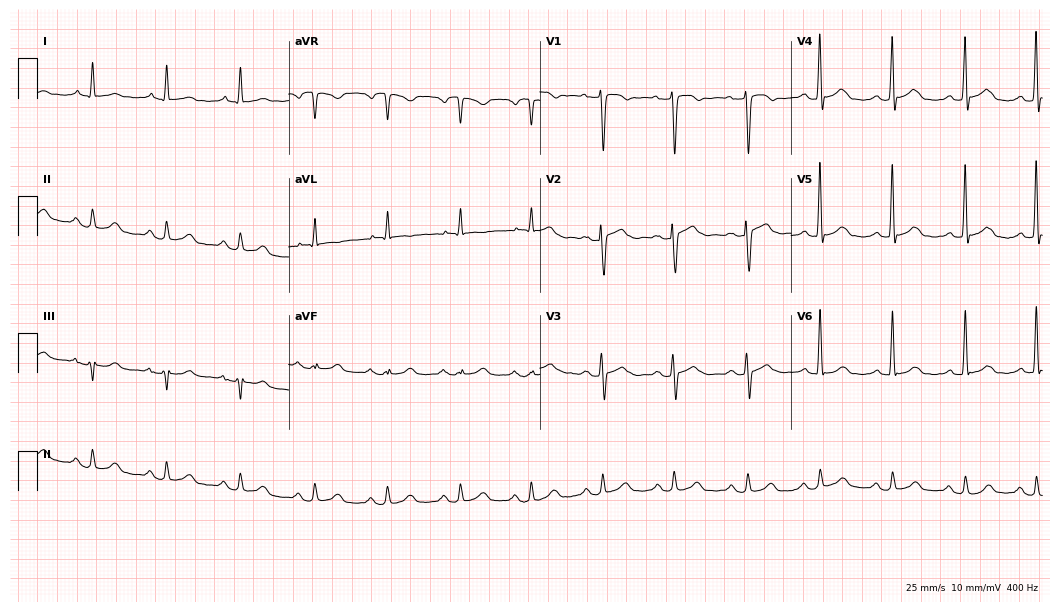
Standard 12-lead ECG recorded from a 68-year-old female (10.2-second recording at 400 Hz). None of these six findings is recorded: first-degree AV block, right bundle branch block, left bundle branch block, sinus bradycardia, atrial fibrillation, sinus tachycardia.